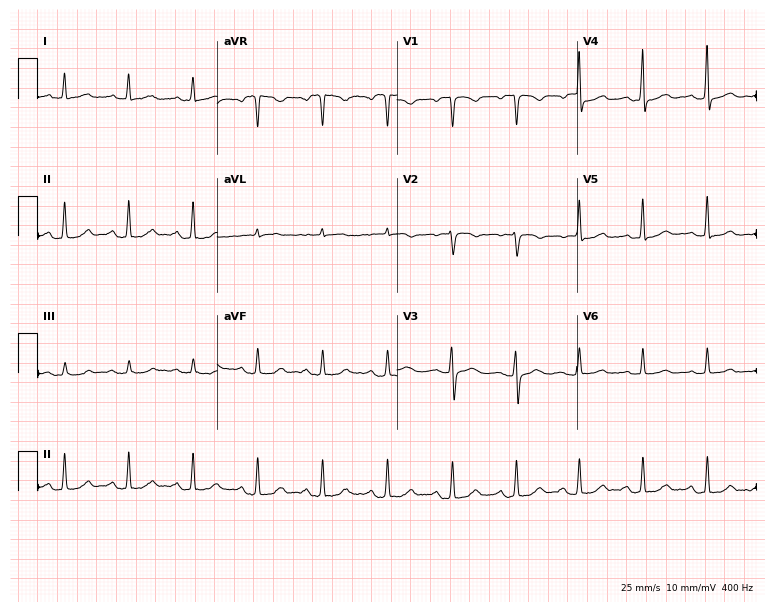
Standard 12-lead ECG recorded from a female patient, 41 years old (7.3-second recording at 400 Hz). None of these six findings is recorded: first-degree AV block, right bundle branch block (RBBB), left bundle branch block (LBBB), sinus bradycardia, atrial fibrillation (AF), sinus tachycardia.